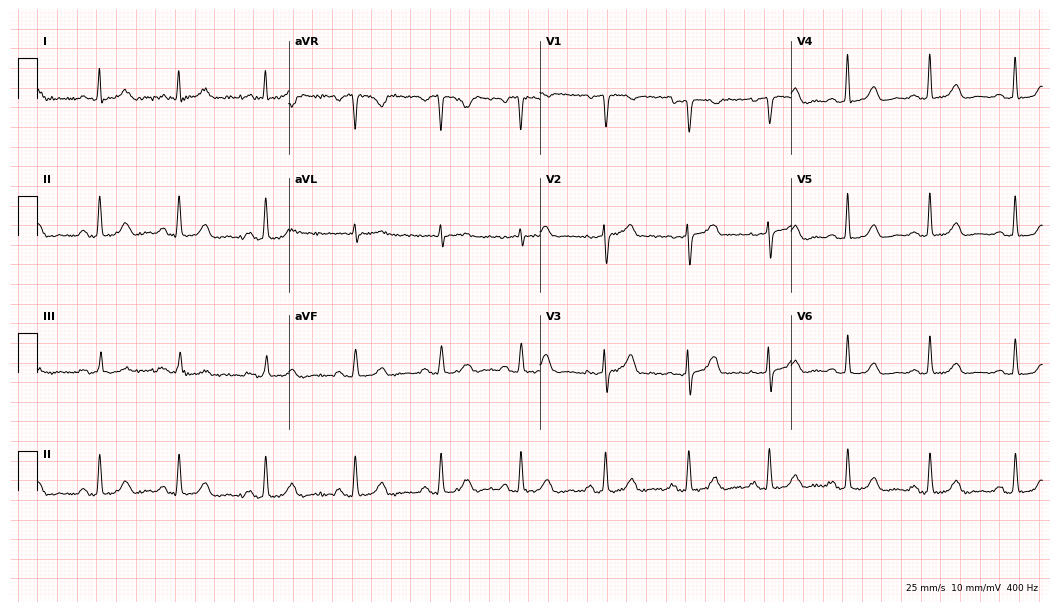
12-lead ECG from a 49-year-old female patient. Screened for six findings — first-degree AV block, right bundle branch block (RBBB), left bundle branch block (LBBB), sinus bradycardia, atrial fibrillation (AF), sinus tachycardia — none is recorded.